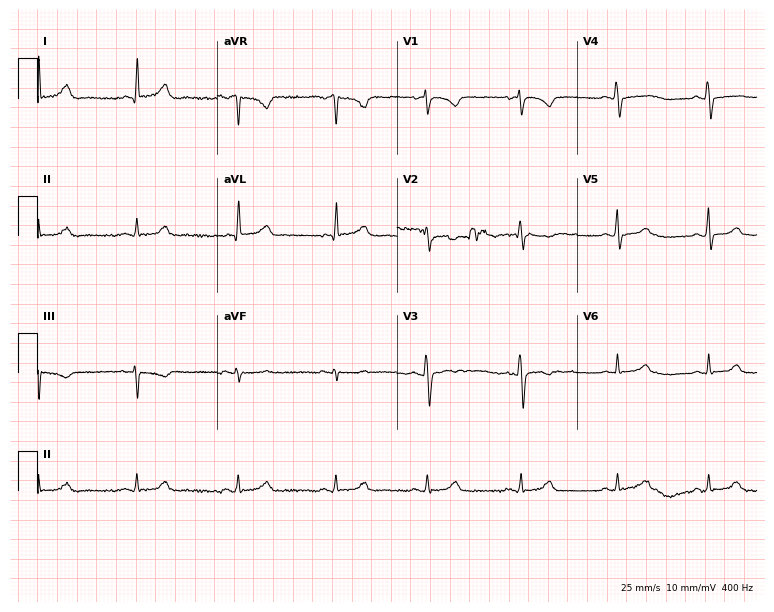
Standard 12-lead ECG recorded from a 41-year-old female (7.3-second recording at 400 Hz). None of these six findings is recorded: first-degree AV block, right bundle branch block (RBBB), left bundle branch block (LBBB), sinus bradycardia, atrial fibrillation (AF), sinus tachycardia.